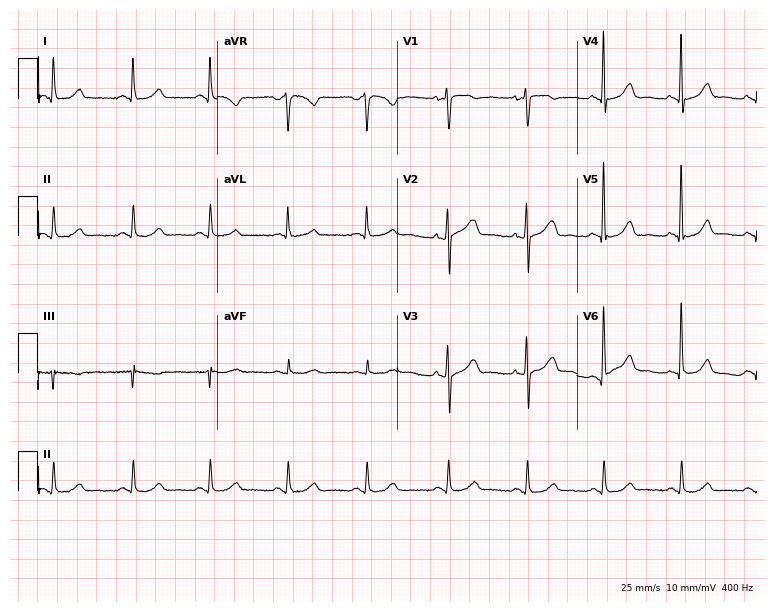
Resting 12-lead electrocardiogram (7.3-second recording at 400 Hz). Patient: a woman, 64 years old. Read as a normal ECG.